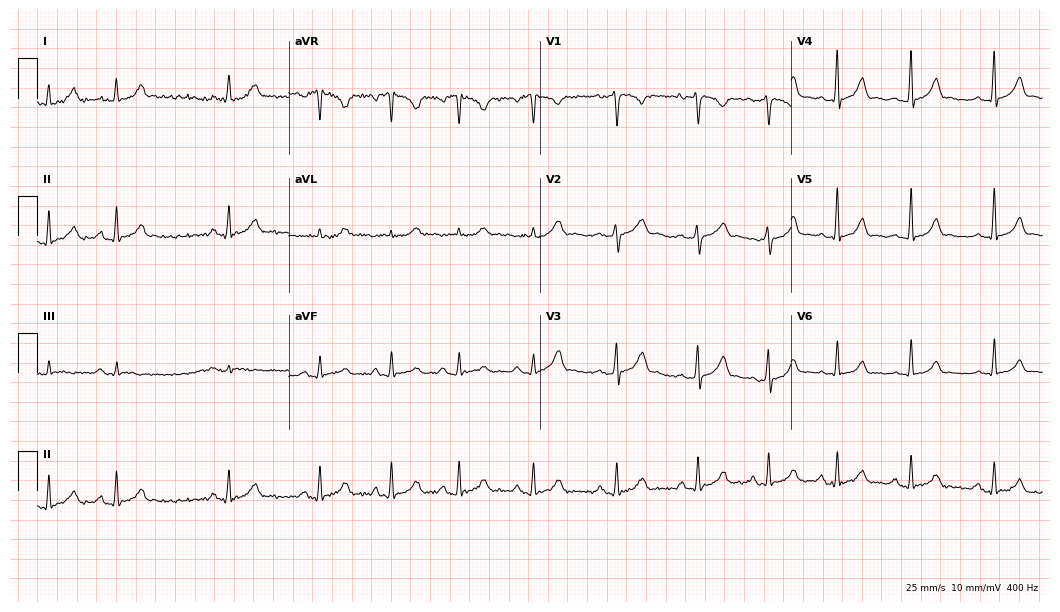
Standard 12-lead ECG recorded from a woman, 24 years old (10.2-second recording at 400 Hz). None of these six findings is recorded: first-degree AV block, right bundle branch block, left bundle branch block, sinus bradycardia, atrial fibrillation, sinus tachycardia. Only these six findings were labelled.